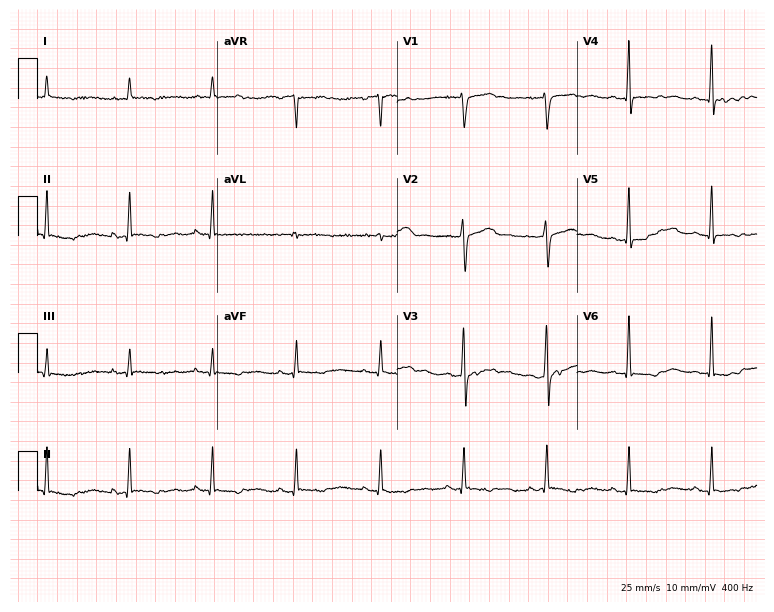
Electrocardiogram (7.3-second recording at 400 Hz), a man, 60 years old. Of the six screened findings (first-degree AV block, right bundle branch block, left bundle branch block, sinus bradycardia, atrial fibrillation, sinus tachycardia), none is recorded. Findings outside these six are not listed.